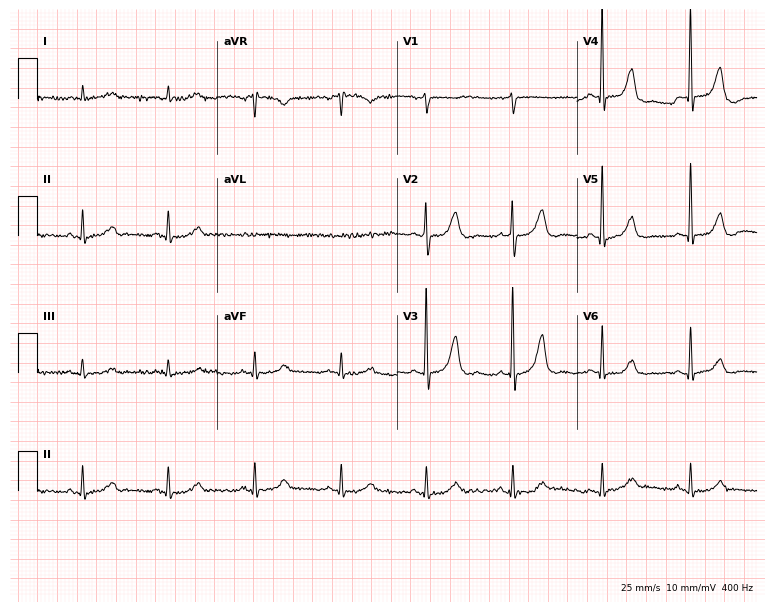
12-lead ECG (7.3-second recording at 400 Hz) from a 78-year-old woman. Screened for six findings — first-degree AV block, right bundle branch block, left bundle branch block, sinus bradycardia, atrial fibrillation, sinus tachycardia — none is recorded.